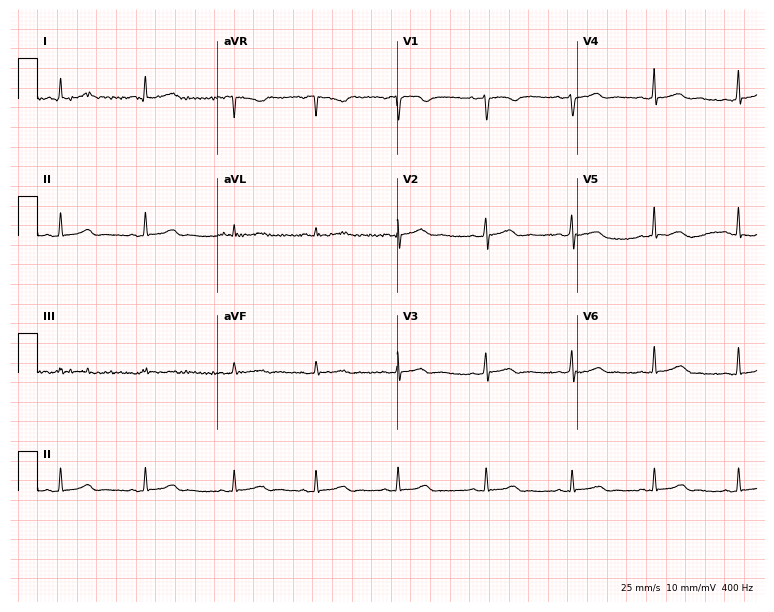
Standard 12-lead ECG recorded from a female patient, 23 years old (7.3-second recording at 400 Hz). Read as a normal ECG.